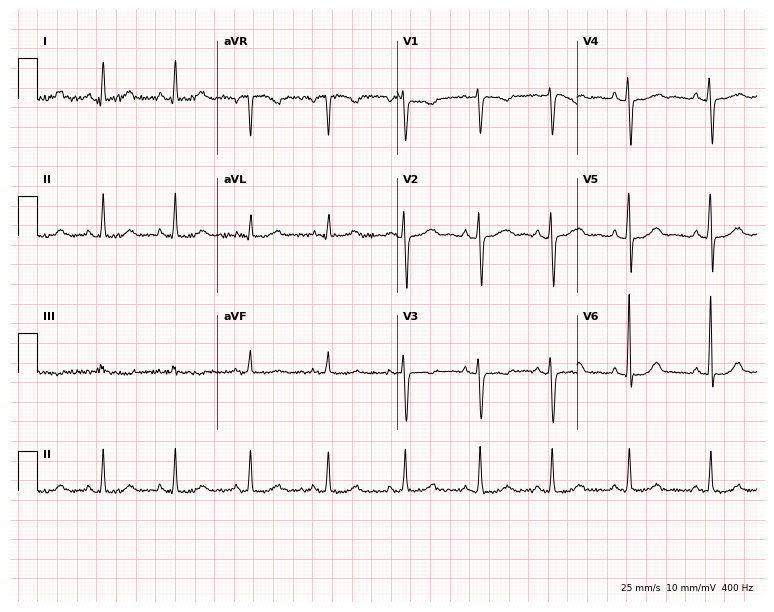
Resting 12-lead electrocardiogram. Patient: a female, 39 years old. Read as a normal ECG.